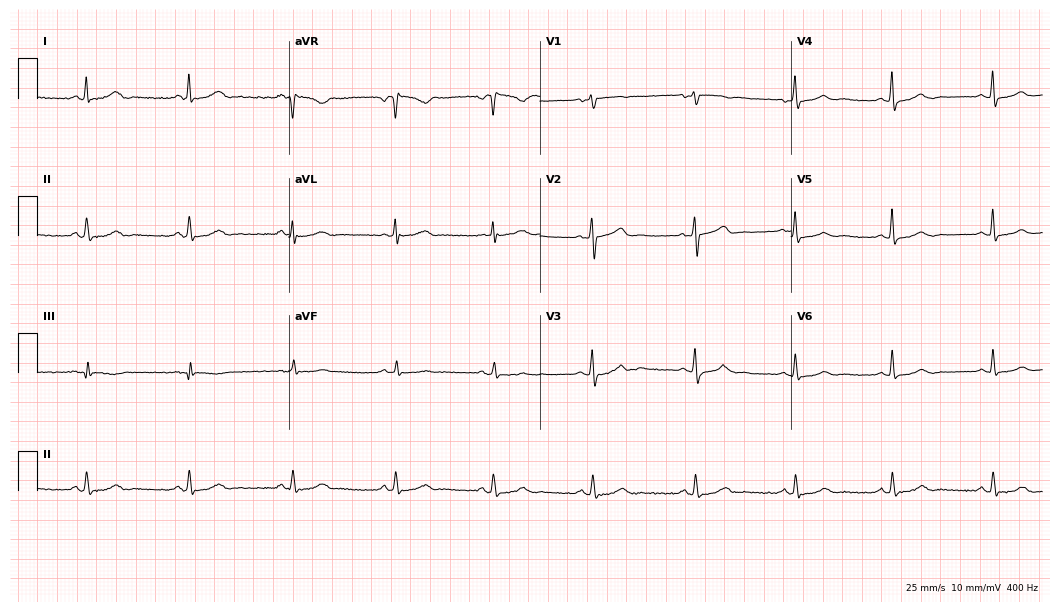
12-lead ECG (10.2-second recording at 400 Hz) from a 40-year-old female. Labelled as a normal ECG.